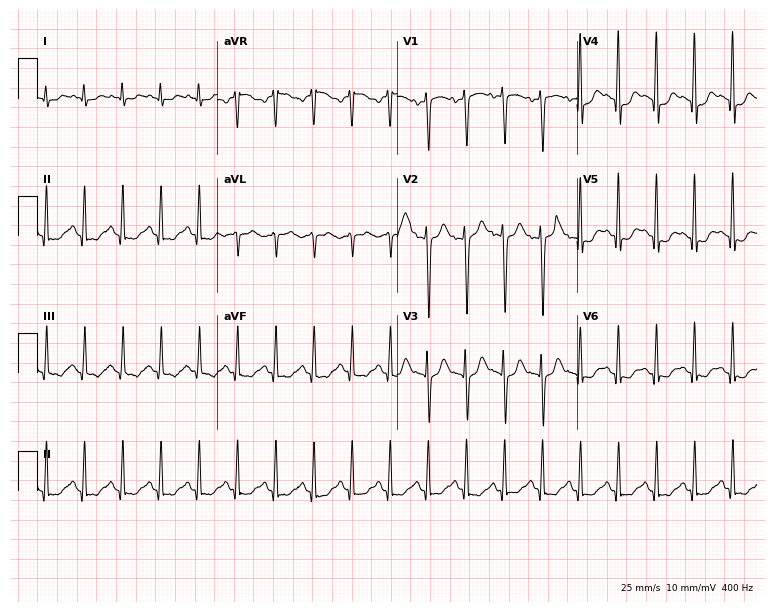
12-lead ECG from a 29-year-old woman. Findings include sinus tachycardia (a sinus rate of 100 beats per minute or more).